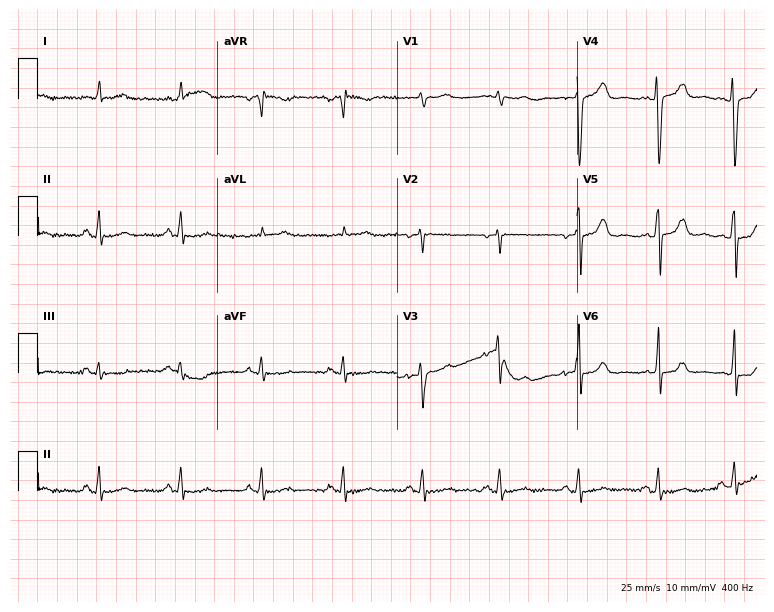
ECG — a female patient, 32 years old. Labelled as a normal ECG.